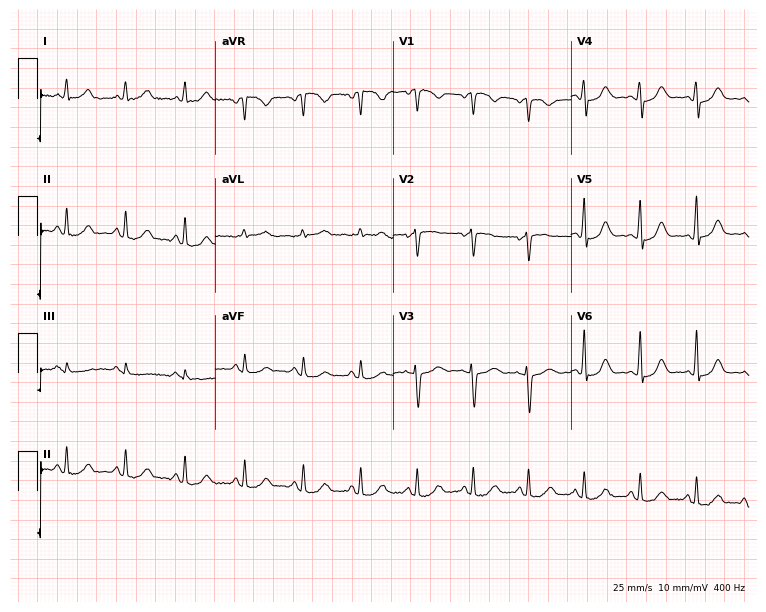
Electrocardiogram, a 51-year-old female. Of the six screened findings (first-degree AV block, right bundle branch block (RBBB), left bundle branch block (LBBB), sinus bradycardia, atrial fibrillation (AF), sinus tachycardia), none is recorded.